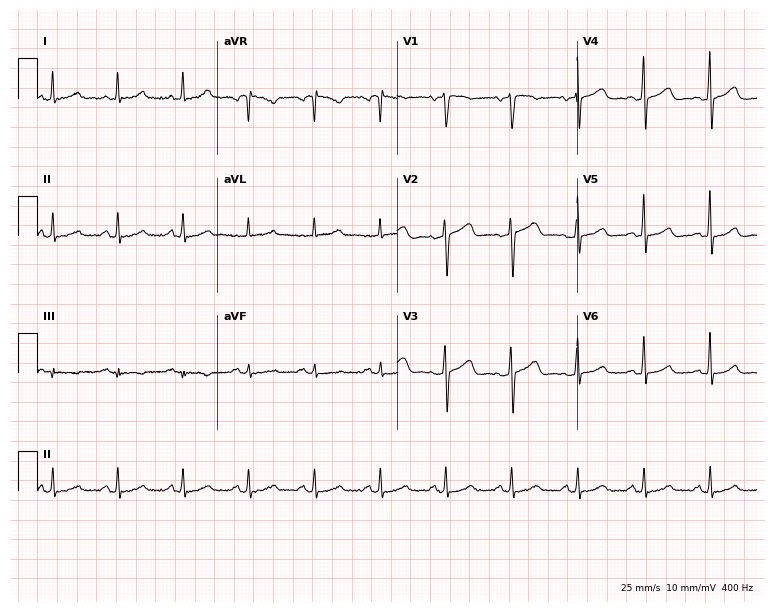
Standard 12-lead ECG recorded from a female, 56 years old. Read as a normal ECG.